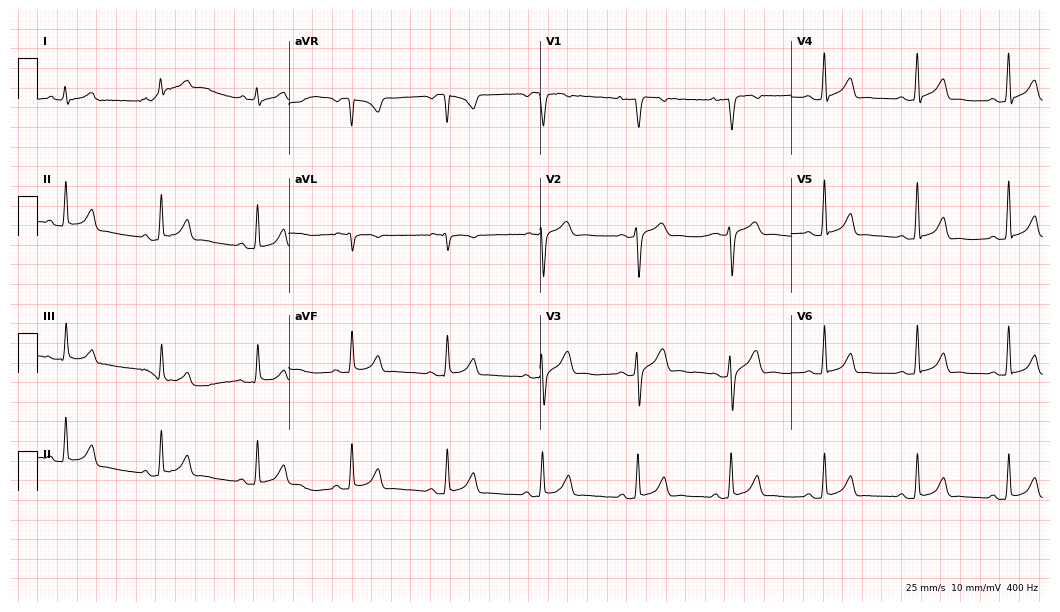
Standard 12-lead ECG recorded from a 43-year-old male (10.2-second recording at 400 Hz). Read as a normal ECG.